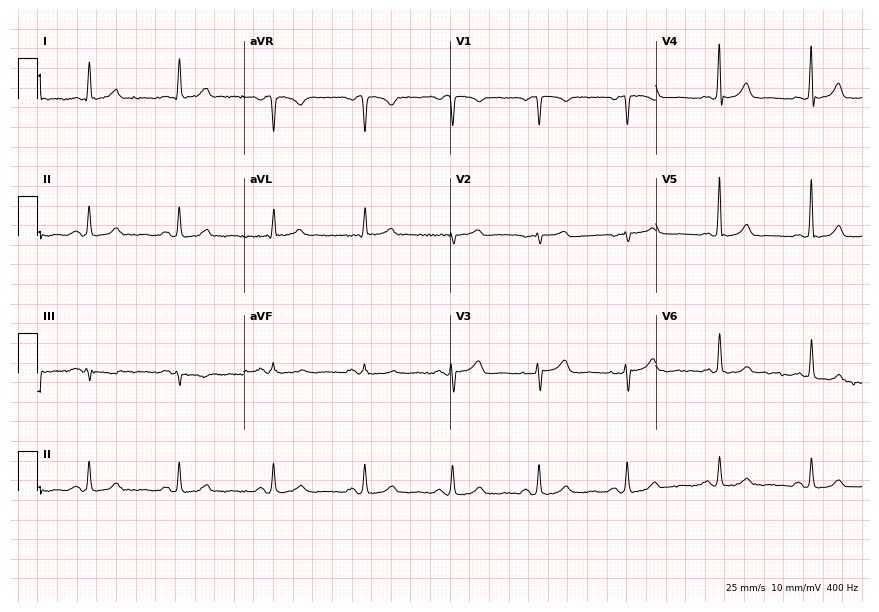
ECG — a 70-year-old woman. Labelled as a normal ECG.